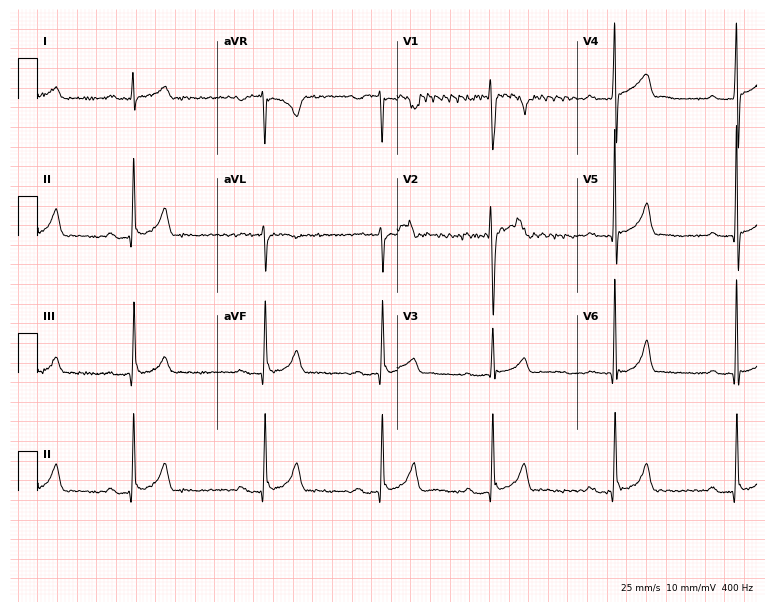
Resting 12-lead electrocardiogram. Patient: a 24-year-old male. The tracing shows first-degree AV block, sinus bradycardia (a sinus rate of 50 beats per minute or less).